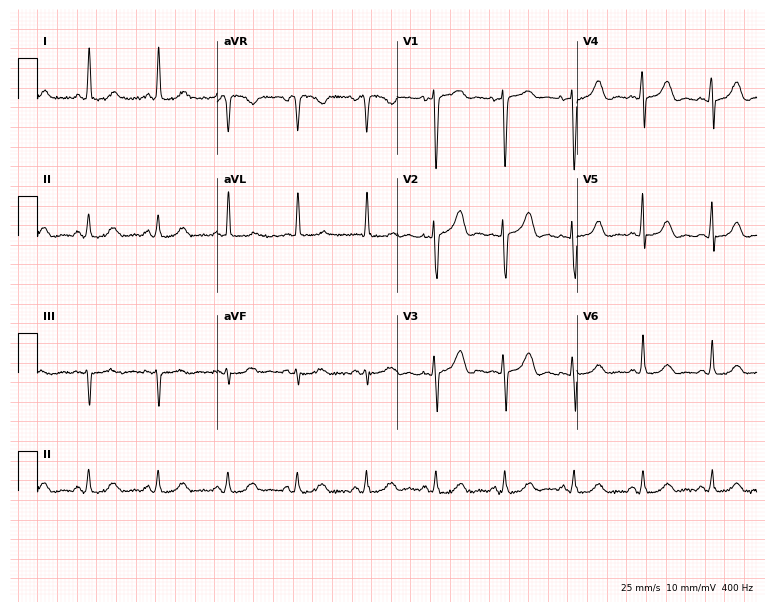
ECG (7.3-second recording at 400 Hz) — a woman, 82 years old. Screened for six findings — first-degree AV block, right bundle branch block, left bundle branch block, sinus bradycardia, atrial fibrillation, sinus tachycardia — none is recorded. Other findings, if any, are not listed.